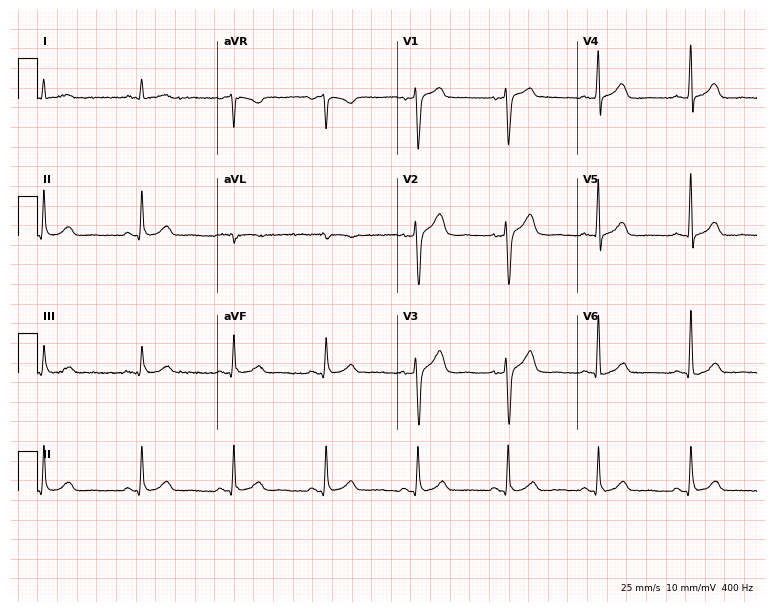
Resting 12-lead electrocardiogram (7.3-second recording at 400 Hz). Patient: a female, 44 years old. None of these six findings is recorded: first-degree AV block, right bundle branch block, left bundle branch block, sinus bradycardia, atrial fibrillation, sinus tachycardia.